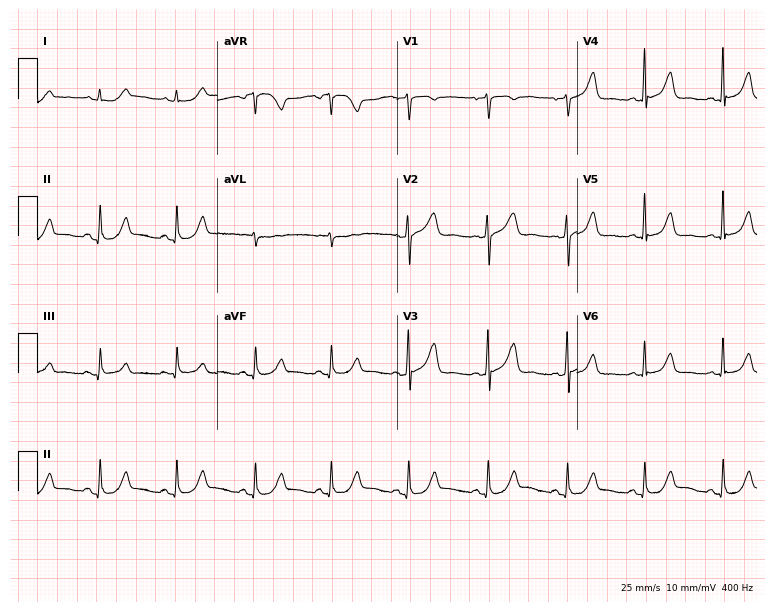
ECG (7.3-second recording at 400 Hz) — a female, 61 years old. Labelled as a normal ECG.